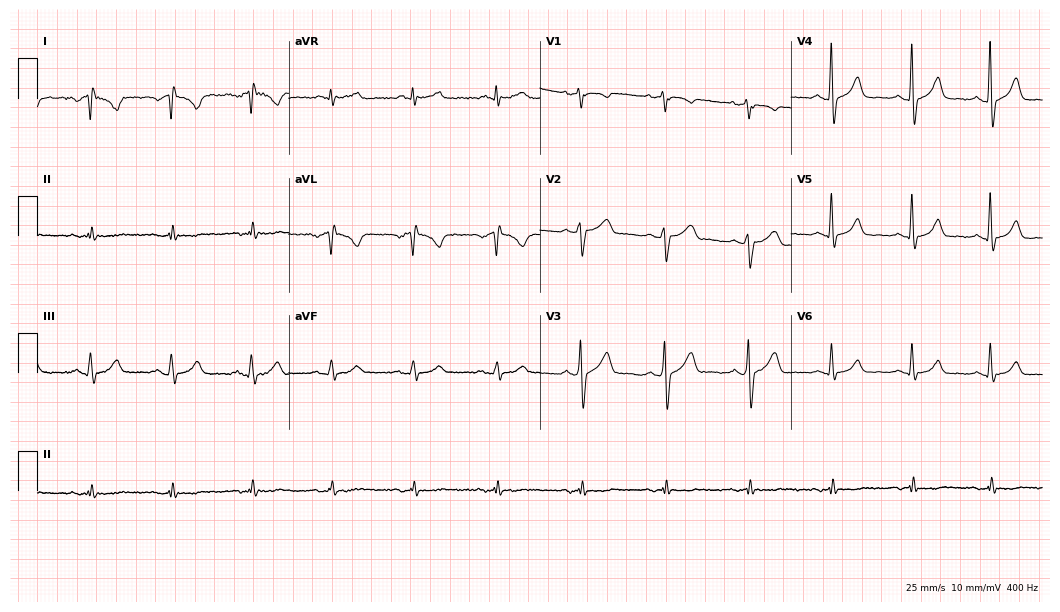
Electrocardiogram, a 58-year-old male patient. Of the six screened findings (first-degree AV block, right bundle branch block (RBBB), left bundle branch block (LBBB), sinus bradycardia, atrial fibrillation (AF), sinus tachycardia), none is recorded. Findings outside these six are not listed.